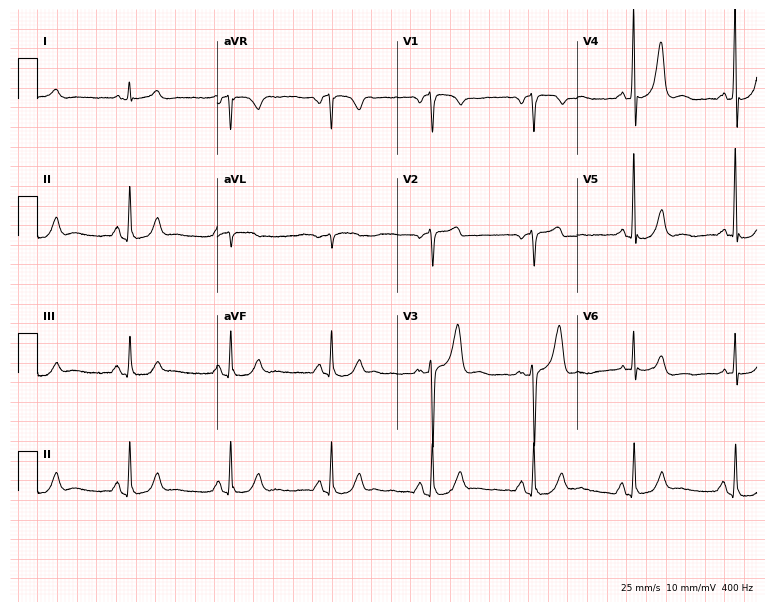
12-lead ECG from a male, 72 years old. Labelled as a normal ECG.